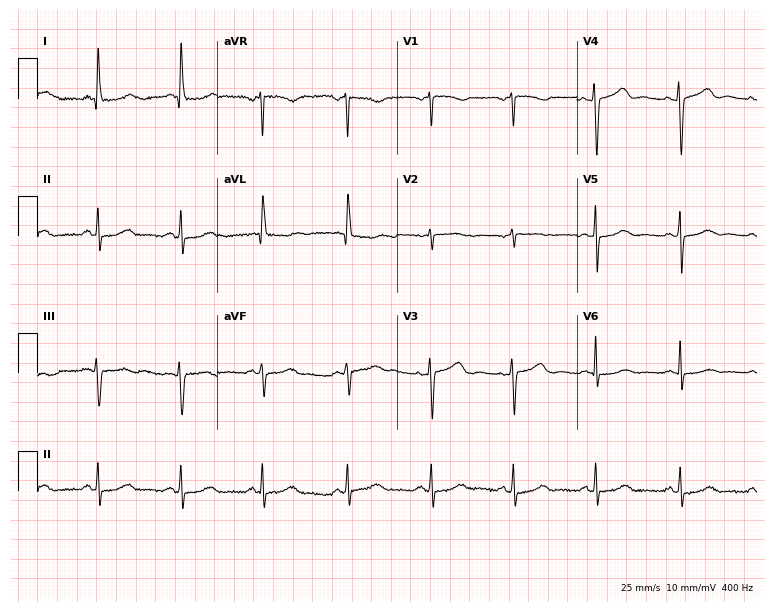
Electrocardiogram (7.3-second recording at 400 Hz), a 52-year-old woman. Overall reading on record: normal ECG.